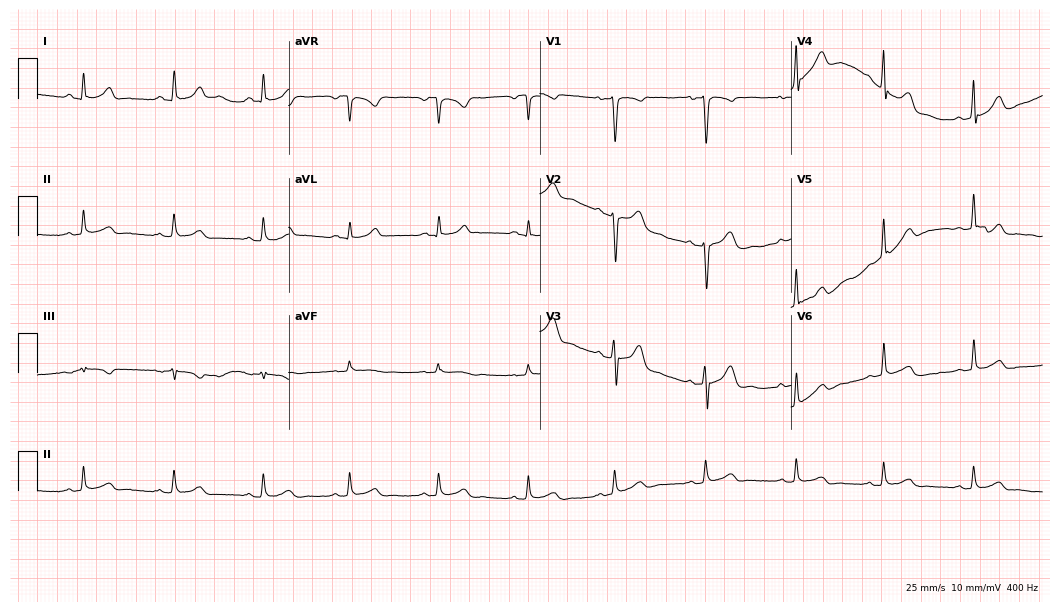
Standard 12-lead ECG recorded from a male patient, 33 years old. Read as a normal ECG.